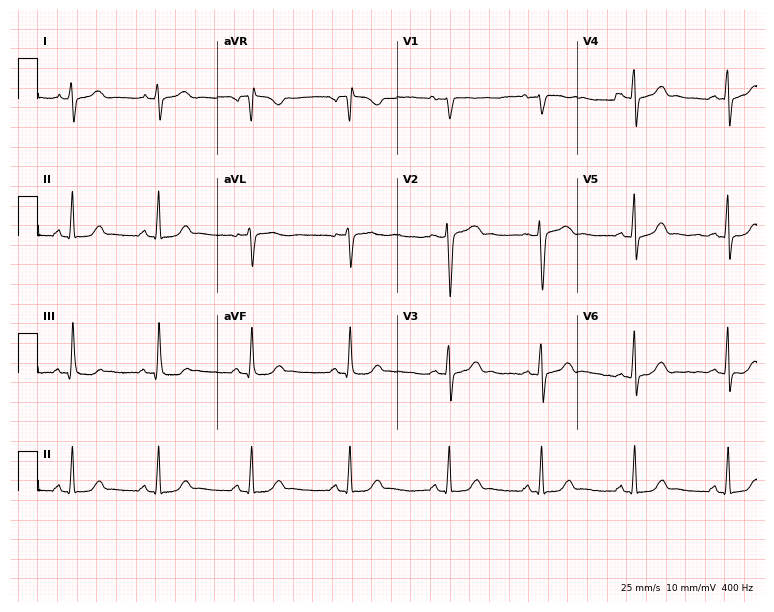
Resting 12-lead electrocardiogram. Patient: a female, 22 years old. Read as a normal ECG.